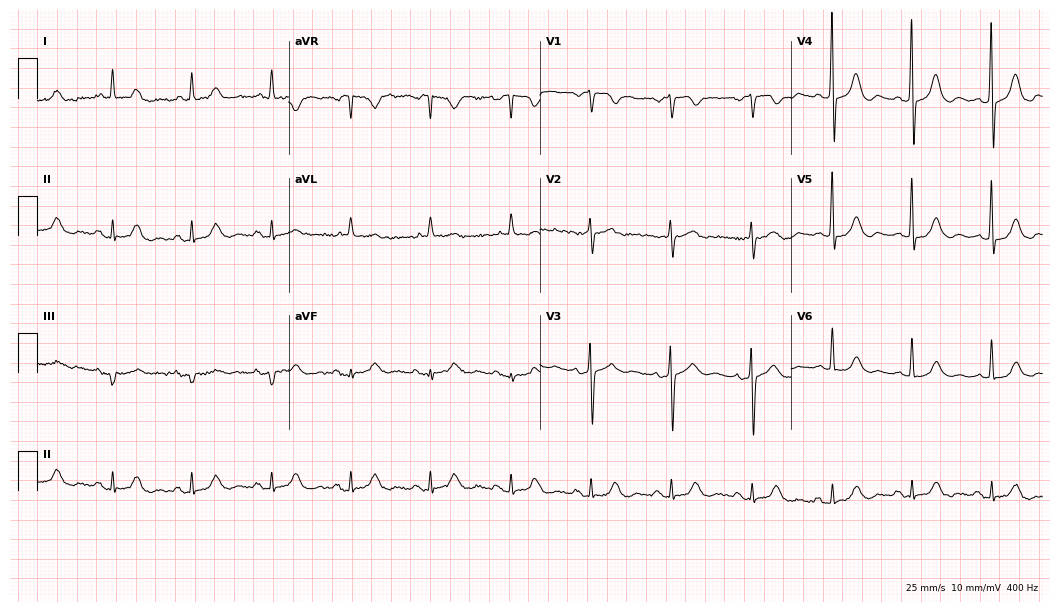
Resting 12-lead electrocardiogram. Patient: a female, 75 years old. Read as a normal ECG.